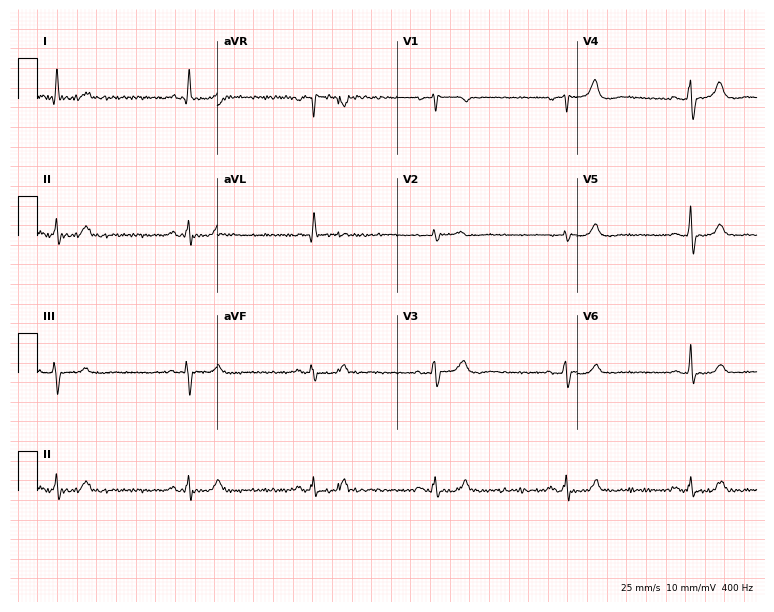
Electrocardiogram (7.3-second recording at 400 Hz), a 72-year-old female. Interpretation includes sinus bradycardia (a sinus rate of 50 beats per minute or less).